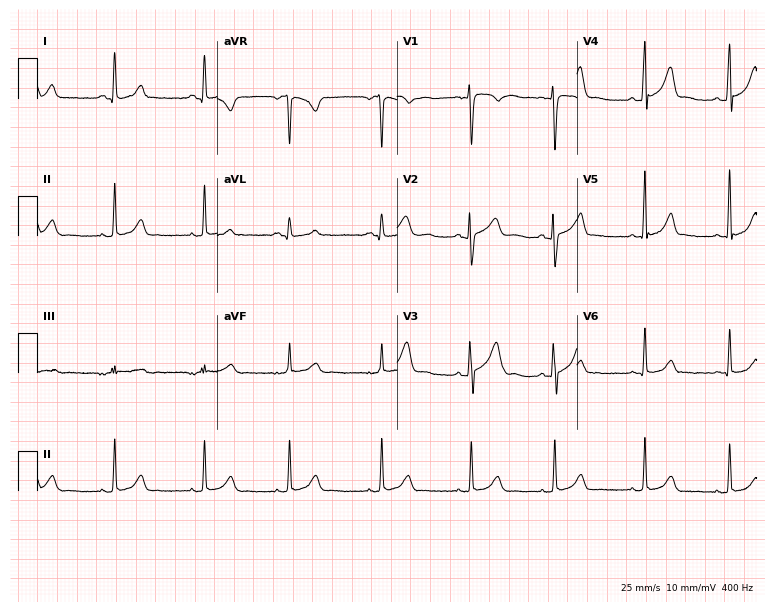
ECG (7.3-second recording at 400 Hz) — a female patient, 19 years old. Labelled as a normal ECG.